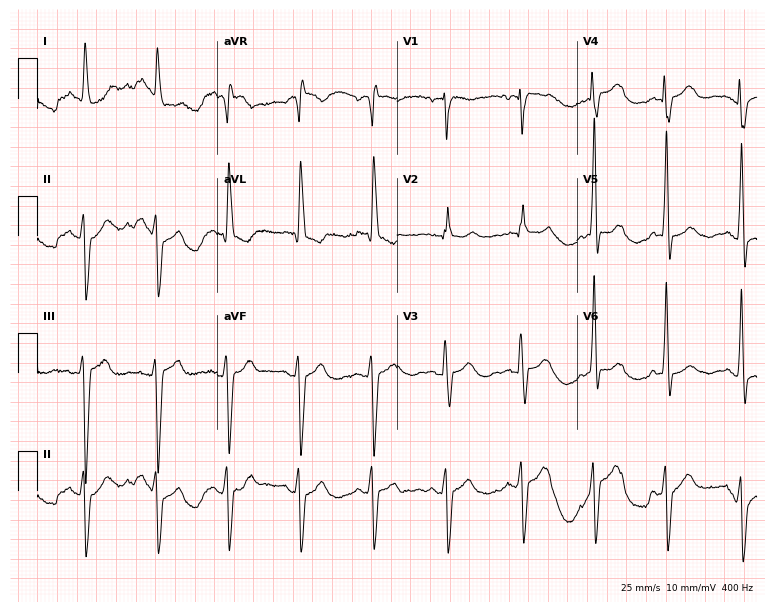
12-lead ECG from a 79-year-old female patient (7.3-second recording at 400 Hz). No first-degree AV block, right bundle branch block, left bundle branch block, sinus bradycardia, atrial fibrillation or sinus tachycardia recorded for this tracing.